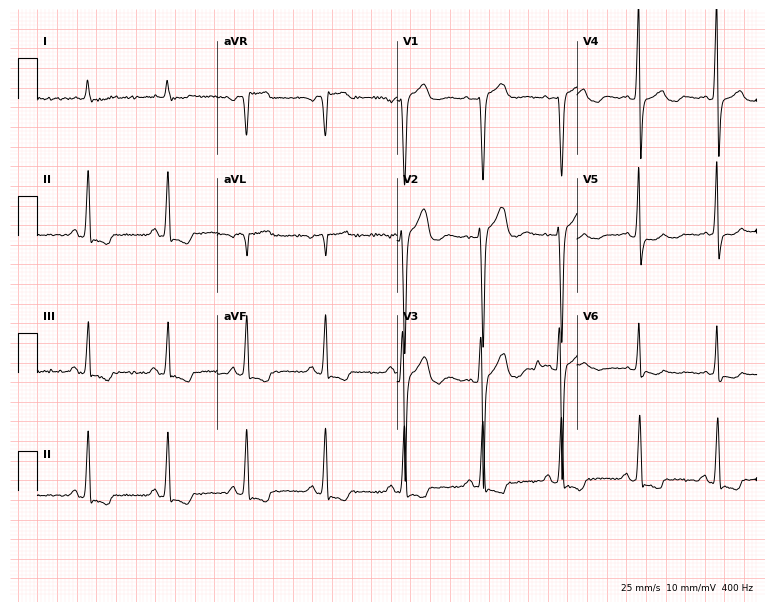
12-lead ECG from a 77-year-old male patient (7.3-second recording at 400 Hz). No first-degree AV block, right bundle branch block (RBBB), left bundle branch block (LBBB), sinus bradycardia, atrial fibrillation (AF) or sinus tachycardia recorded for this tracing. Only these six findings were labelled.